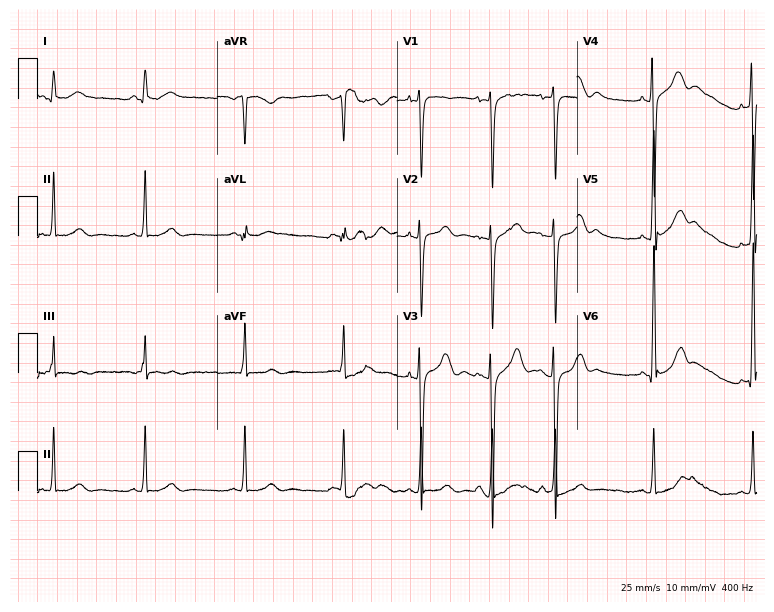
Standard 12-lead ECG recorded from an 18-year-old male (7.3-second recording at 400 Hz). Read as a normal ECG.